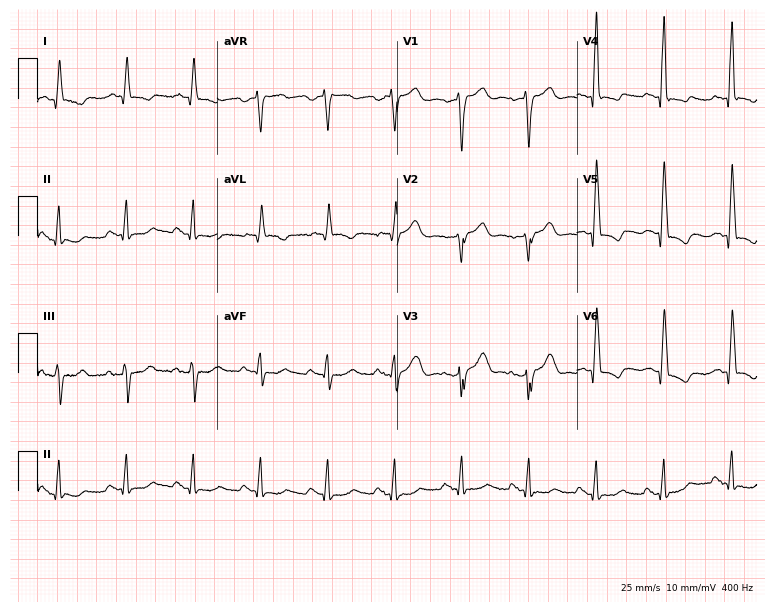
Resting 12-lead electrocardiogram. Patient: a male, 77 years old. None of these six findings is recorded: first-degree AV block, right bundle branch block (RBBB), left bundle branch block (LBBB), sinus bradycardia, atrial fibrillation (AF), sinus tachycardia.